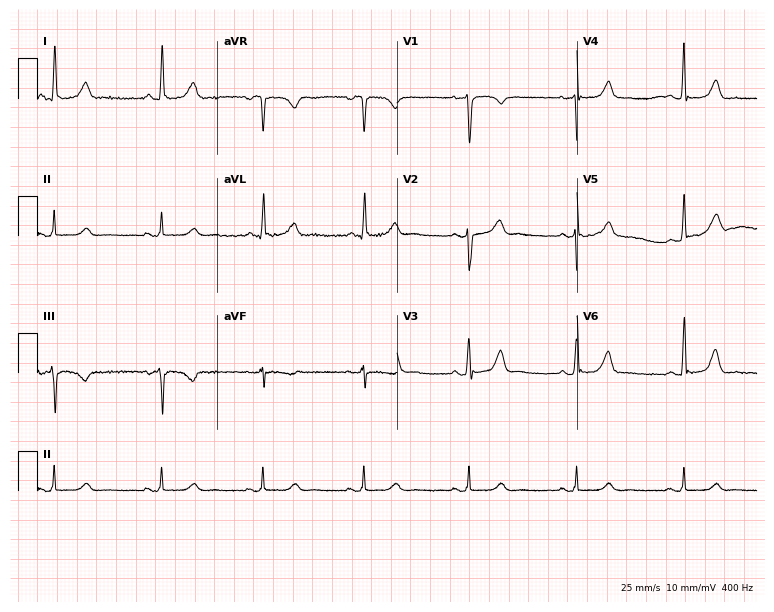
Electrocardiogram, a 50-year-old female. Overall reading on record: normal ECG.